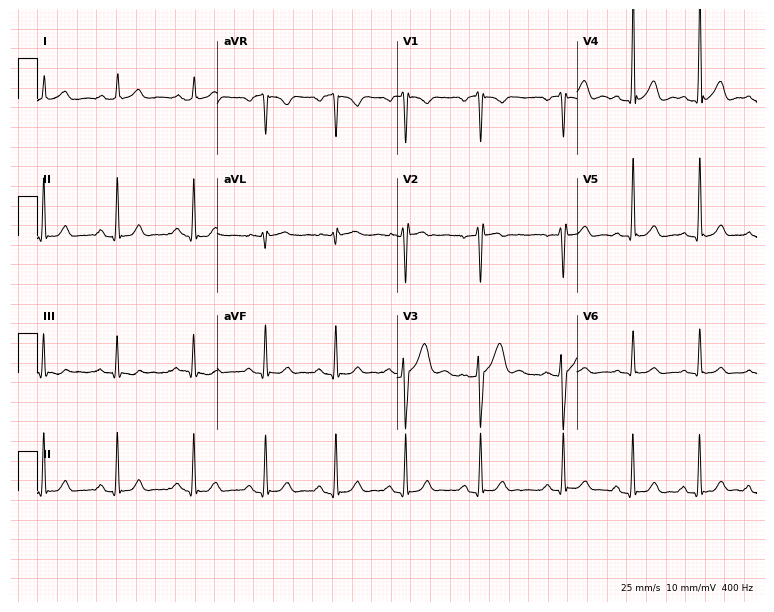
Electrocardiogram (7.3-second recording at 400 Hz), a male, 26 years old. Of the six screened findings (first-degree AV block, right bundle branch block (RBBB), left bundle branch block (LBBB), sinus bradycardia, atrial fibrillation (AF), sinus tachycardia), none is recorded. Other findings, if any, are not listed.